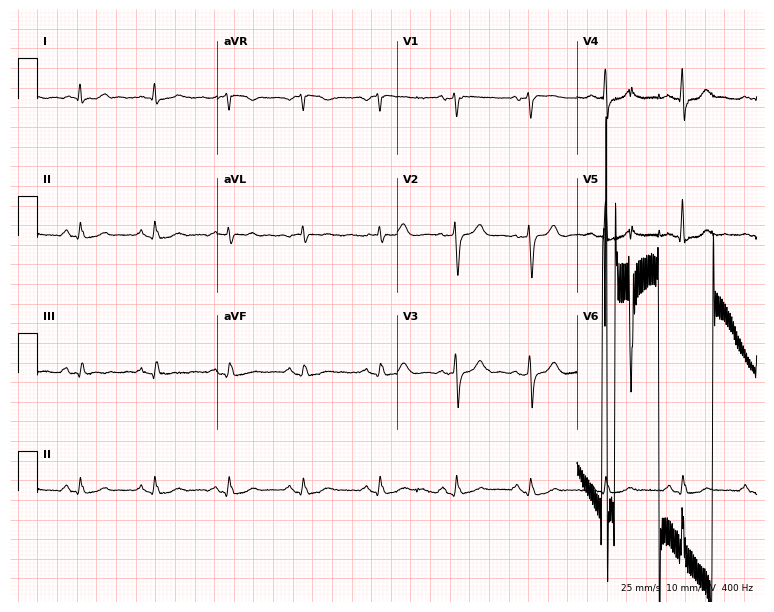
ECG (7.3-second recording at 400 Hz) — a 71-year-old male patient. Screened for six findings — first-degree AV block, right bundle branch block, left bundle branch block, sinus bradycardia, atrial fibrillation, sinus tachycardia — none is recorded.